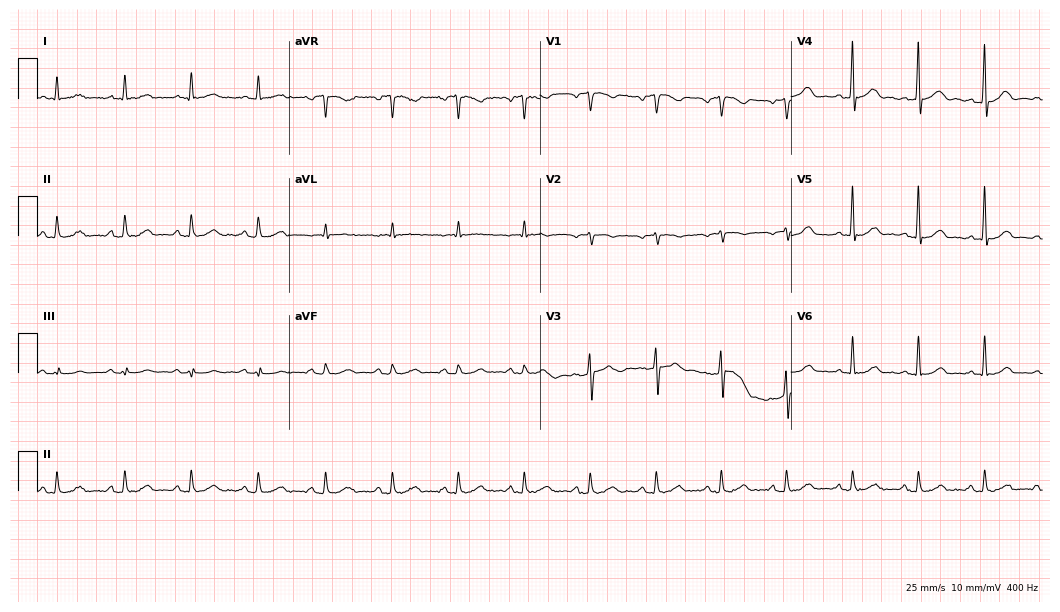
Electrocardiogram, a 71-year-old male patient. Overall reading on record: normal ECG.